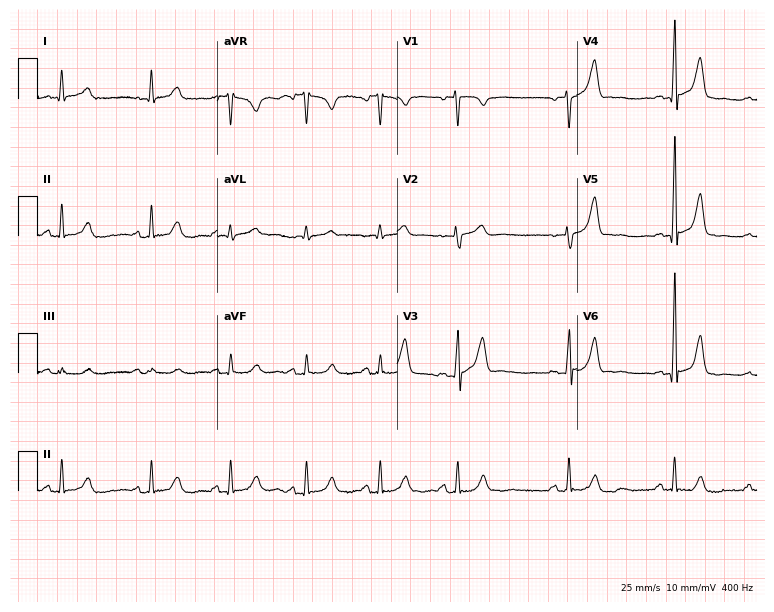
Resting 12-lead electrocardiogram. Patient: a 59-year-old female. None of these six findings is recorded: first-degree AV block, right bundle branch block, left bundle branch block, sinus bradycardia, atrial fibrillation, sinus tachycardia.